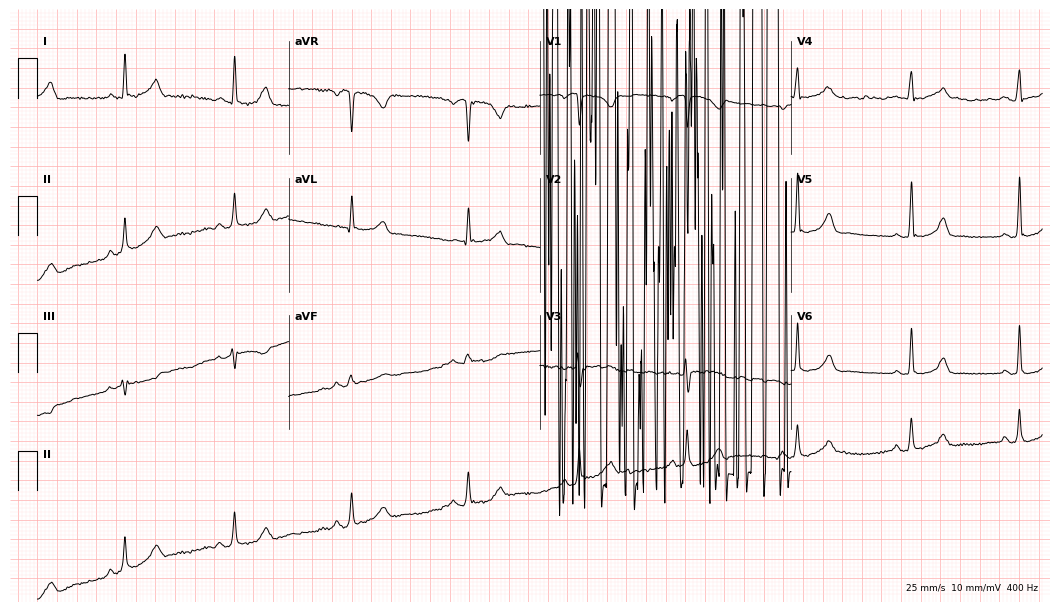
12-lead ECG from a 43-year-old woman (10.2-second recording at 400 Hz). No first-degree AV block, right bundle branch block (RBBB), left bundle branch block (LBBB), sinus bradycardia, atrial fibrillation (AF) or sinus tachycardia recorded for this tracing.